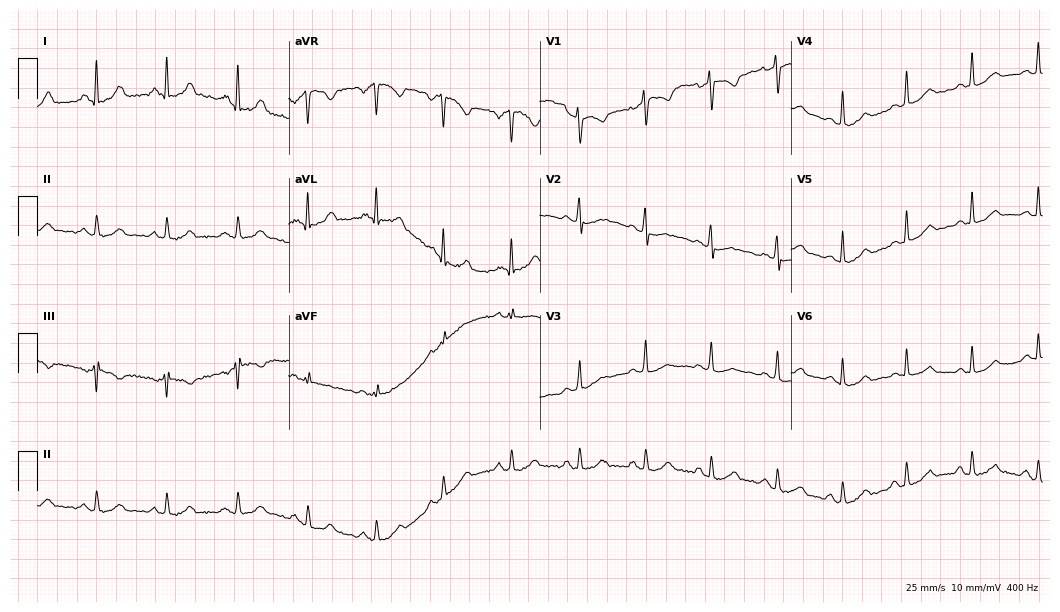
Electrocardiogram, a female patient, 30 years old. Overall reading on record: normal ECG.